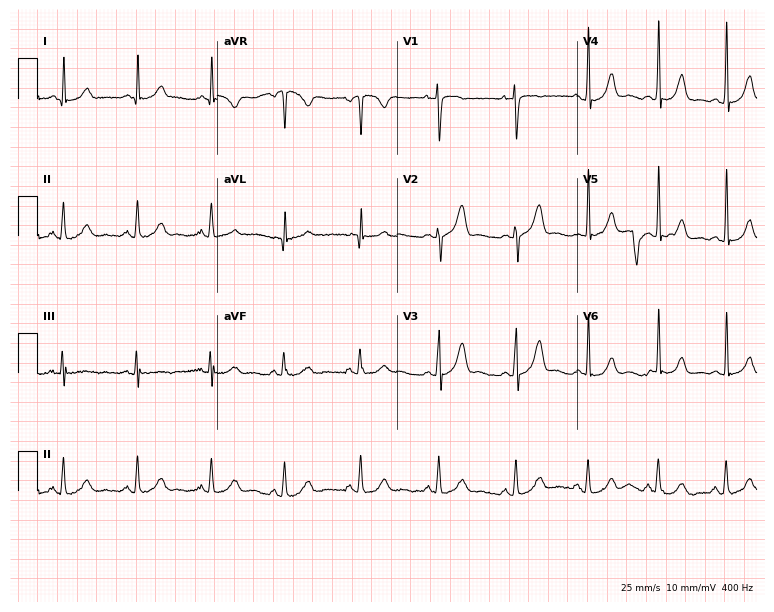
Standard 12-lead ECG recorded from a 23-year-old female. Read as a normal ECG.